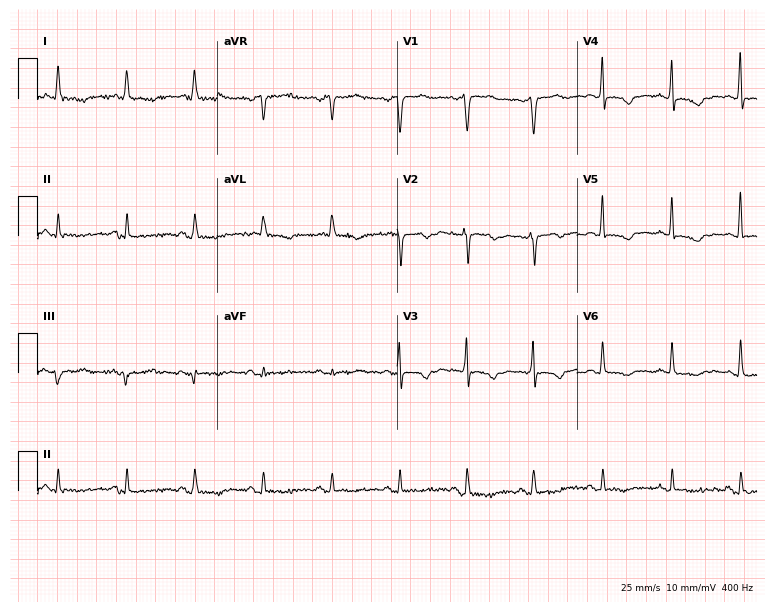
ECG — a female, 76 years old. Screened for six findings — first-degree AV block, right bundle branch block, left bundle branch block, sinus bradycardia, atrial fibrillation, sinus tachycardia — none is recorded.